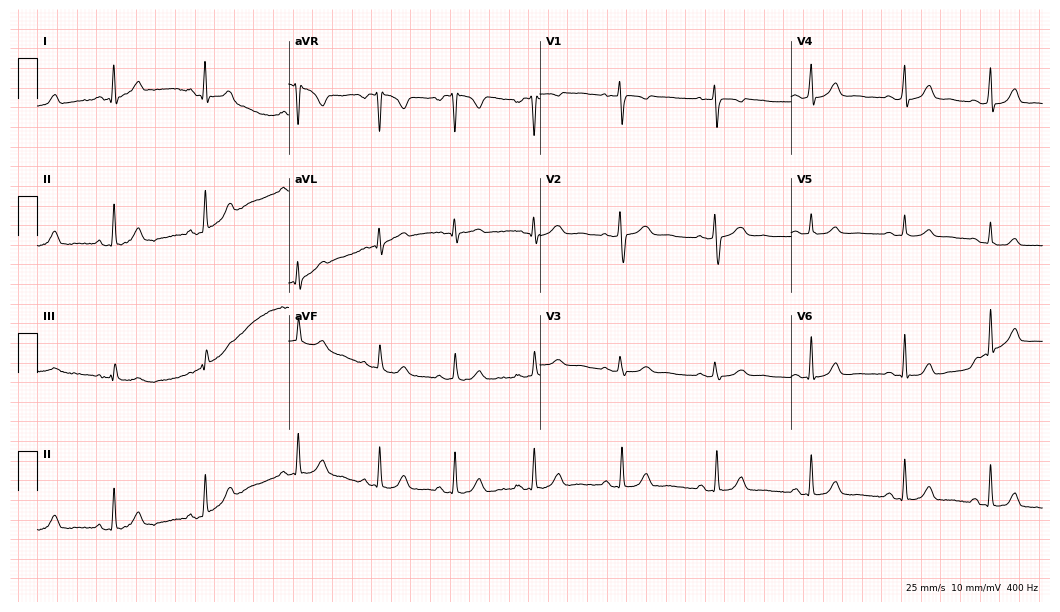
12-lead ECG from a 22-year-old female patient (10.2-second recording at 400 Hz). Recorded interpretation: within normal limits.